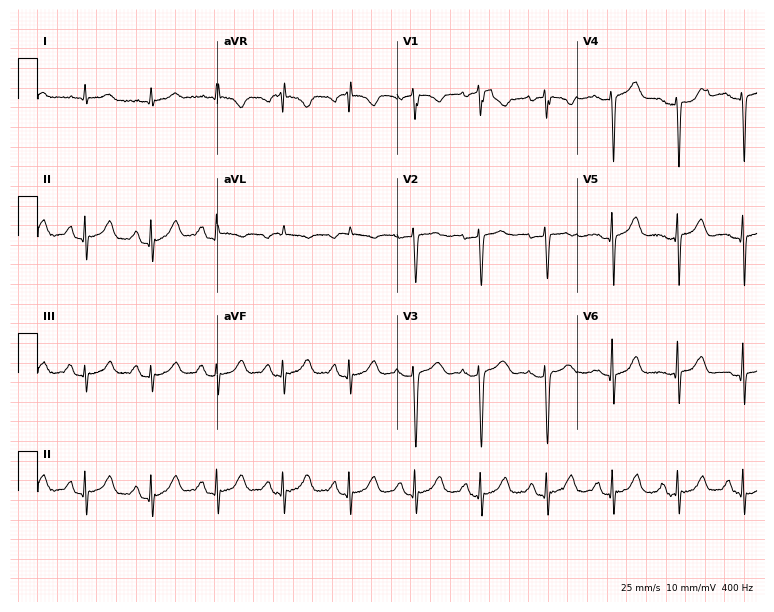
Standard 12-lead ECG recorded from a woman, 58 years old (7.3-second recording at 400 Hz). Read as a normal ECG.